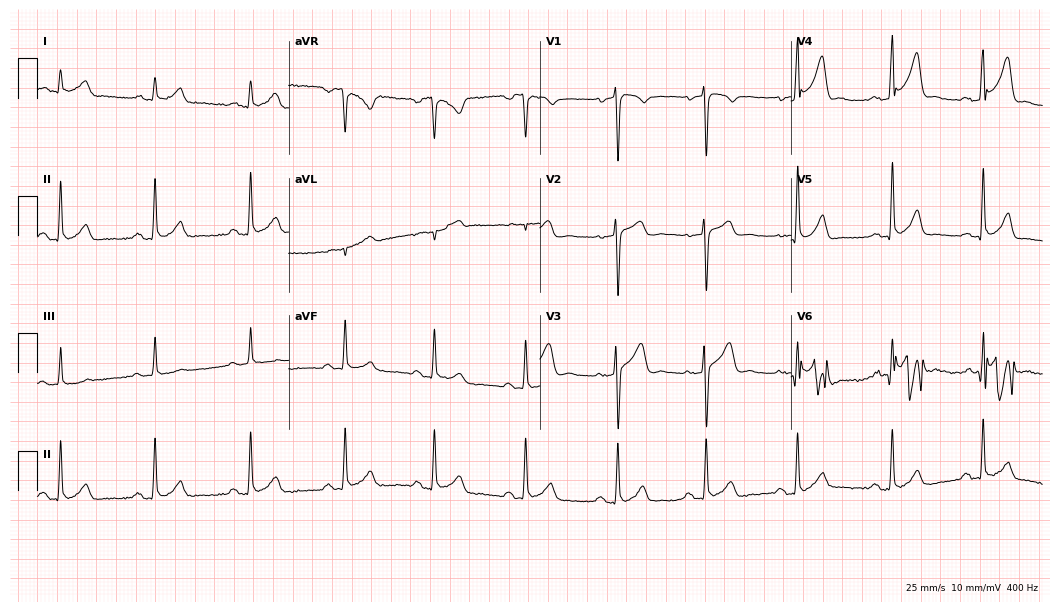
ECG — a 31-year-old man. Labelled as a normal ECG.